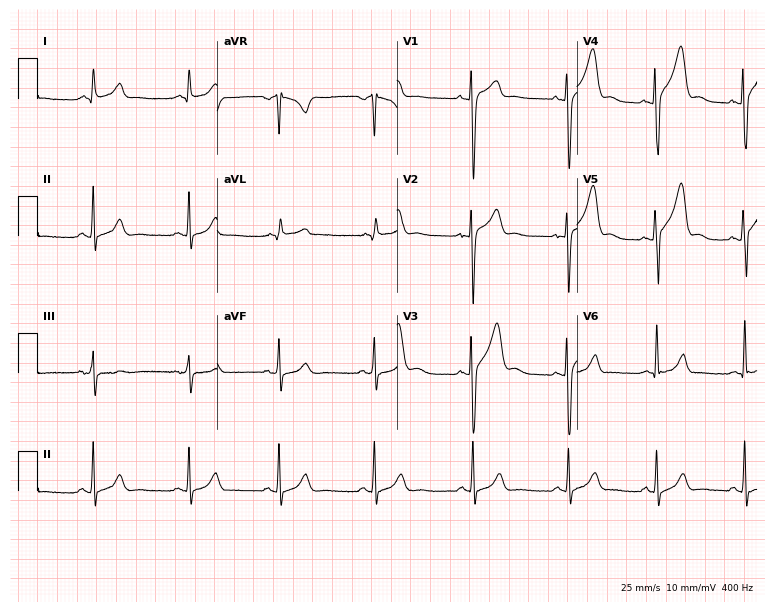
Resting 12-lead electrocardiogram. Patient: a 35-year-old man. None of these six findings is recorded: first-degree AV block, right bundle branch block, left bundle branch block, sinus bradycardia, atrial fibrillation, sinus tachycardia.